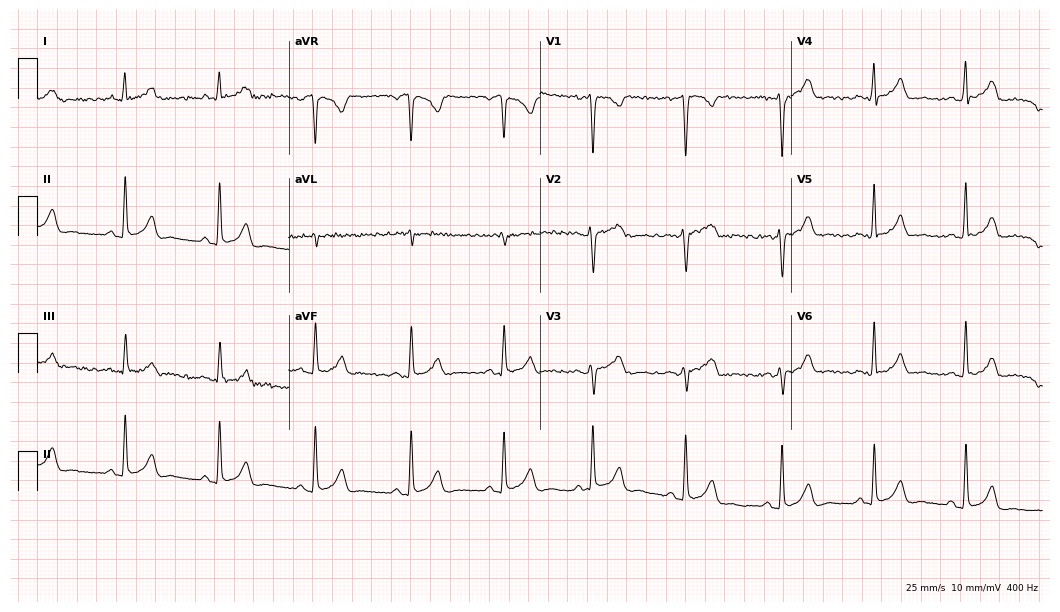
ECG — a woman, 30 years old. Labelled as a normal ECG.